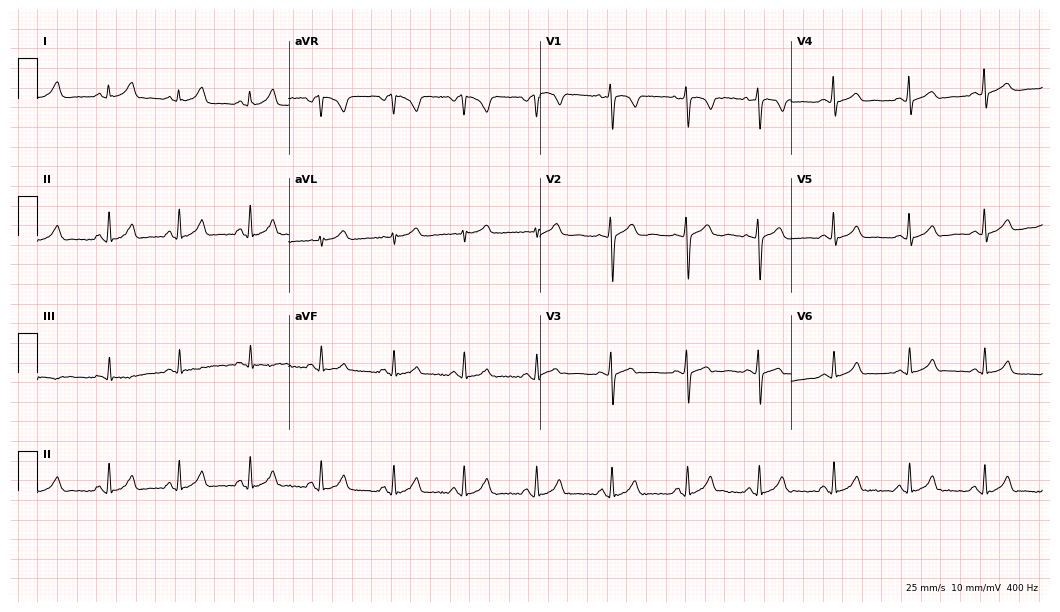
12-lead ECG from a 26-year-old woman (10.2-second recording at 400 Hz). No first-degree AV block, right bundle branch block, left bundle branch block, sinus bradycardia, atrial fibrillation or sinus tachycardia recorded for this tracing.